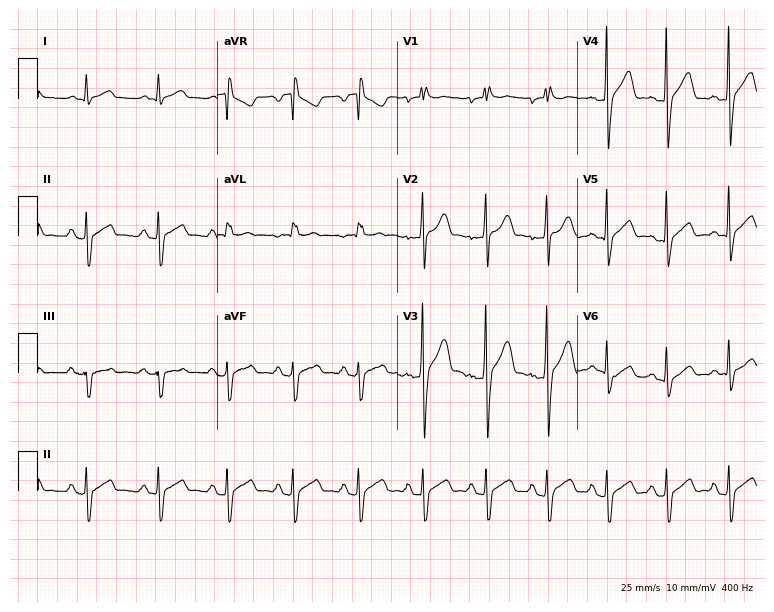
ECG (7.3-second recording at 400 Hz) — a 21-year-old male. Screened for six findings — first-degree AV block, right bundle branch block (RBBB), left bundle branch block (LBBB), sinus bradycardia, atrial fibrillation (AF), sinus tachycardia — none is recorded. Findings outside these six are not listed.